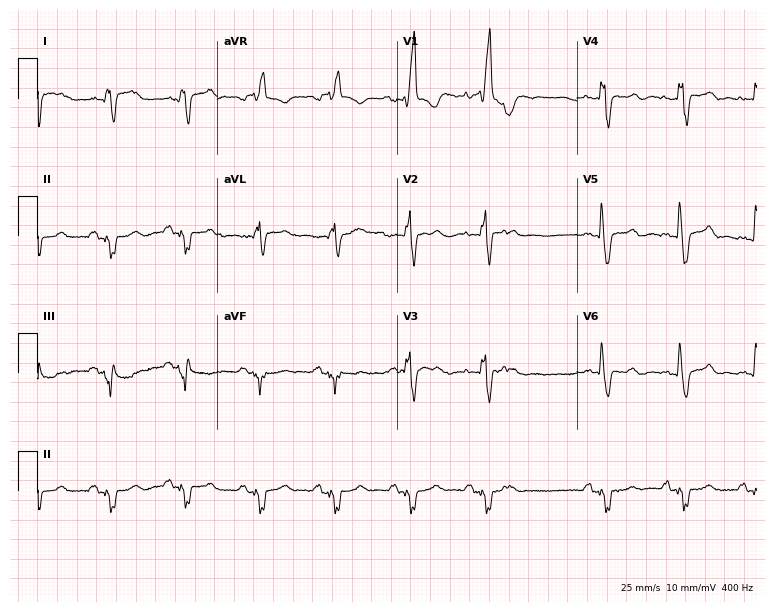
ECG — a 62-year-old woman. Findings include right bundle branch block.